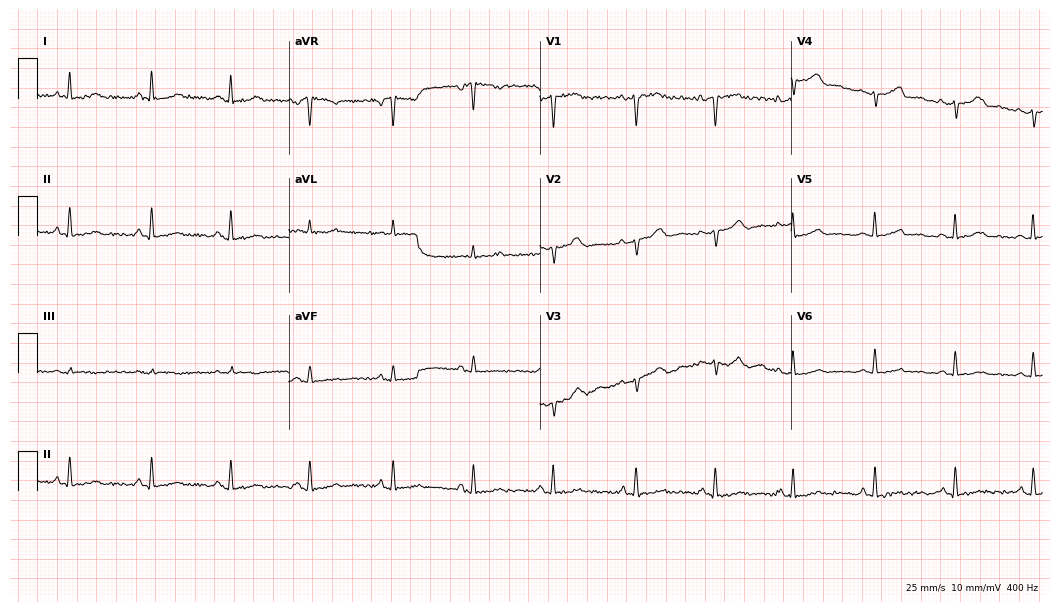
12-lead ECG from a 49-year-old female. No first-degree AV block, right bundle branch block (RBBB), left bundle branch block (LBBB), sinus bradycardia, atrial fibrillation (AF) or sinus tachycardia recorded for this tracing. Findings outside these six are not listed.